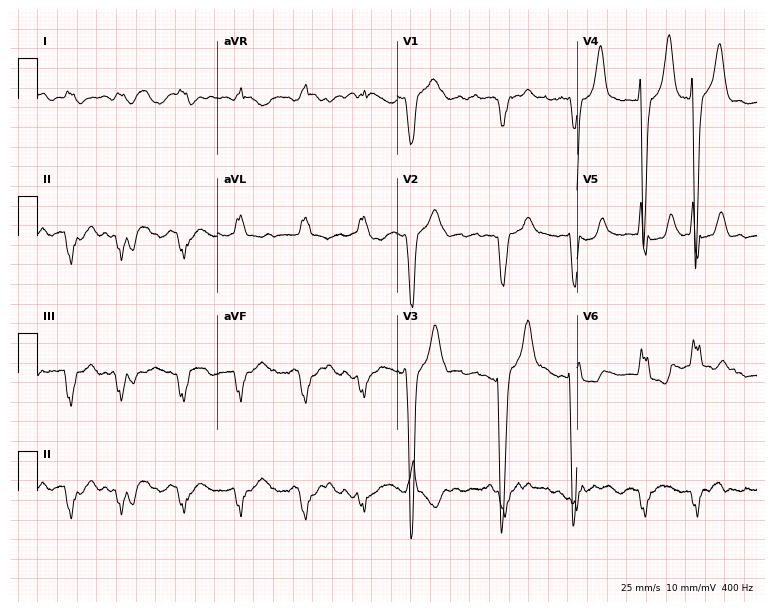
Resting 12-lead electrocardiogram. Patient: a man, 76 years old. None of these six findings is recorded: first-degree AV block, right bundle branch block (RBBB), left bundle branch block (LBBB), sinus bradycardia, atrial fibrillation (AF), sinus tachycardia. Other findings, if any, are not listed.